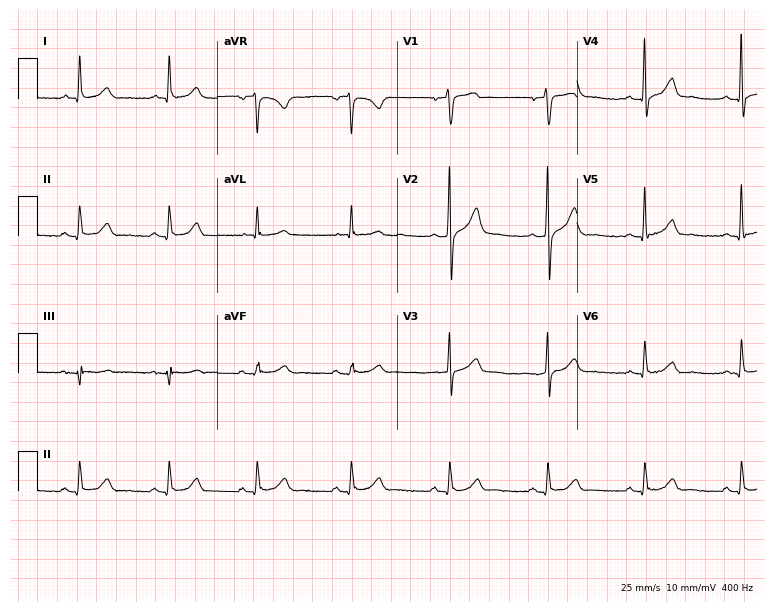
12-lead ECG from a 57-year-old man (7.3-second recording at 400 Hz). Recorded interpretation: within normal limits.